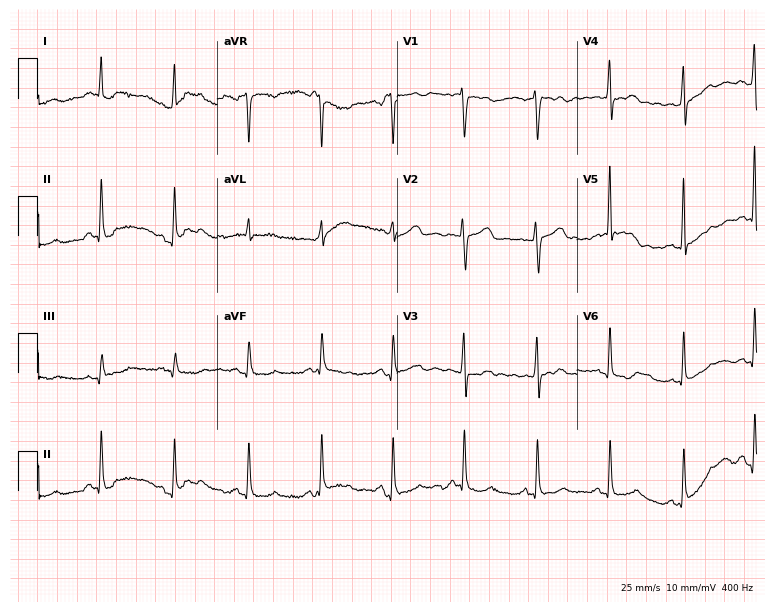
12-lead ECG from a woman, 61 years old. Recorded interpretation: within normal limits.